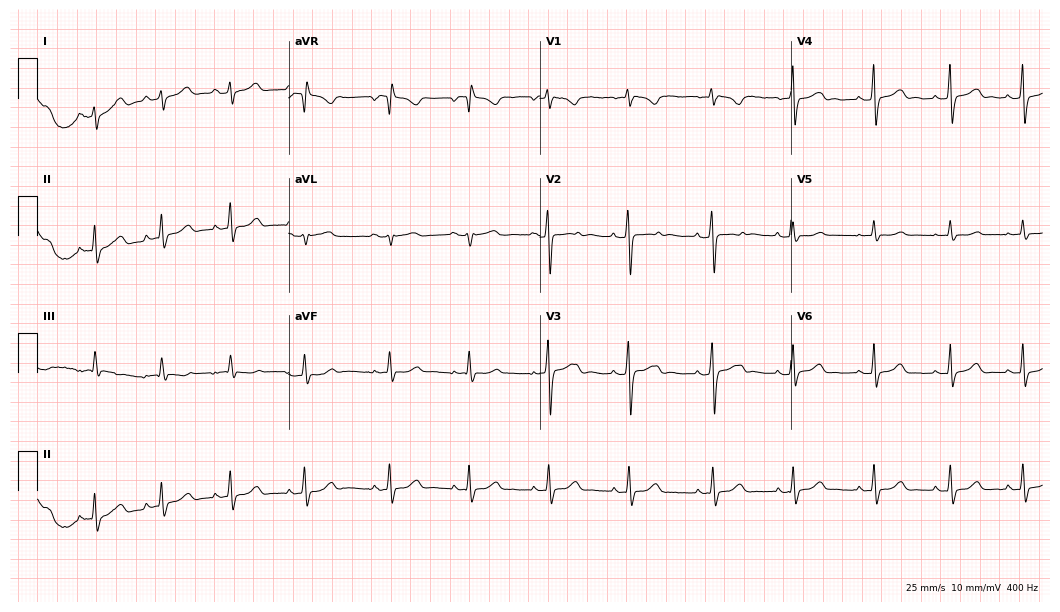
Standard 12-lead ECG recorded from a woman, 29 years old. None of these six findings is recorded: first-degree AV block, right bundle branch block, left bundle branch block, sinus bradycardia, atrial fibrillation, sinus tachycardia. Other findings, if any, are not listed.